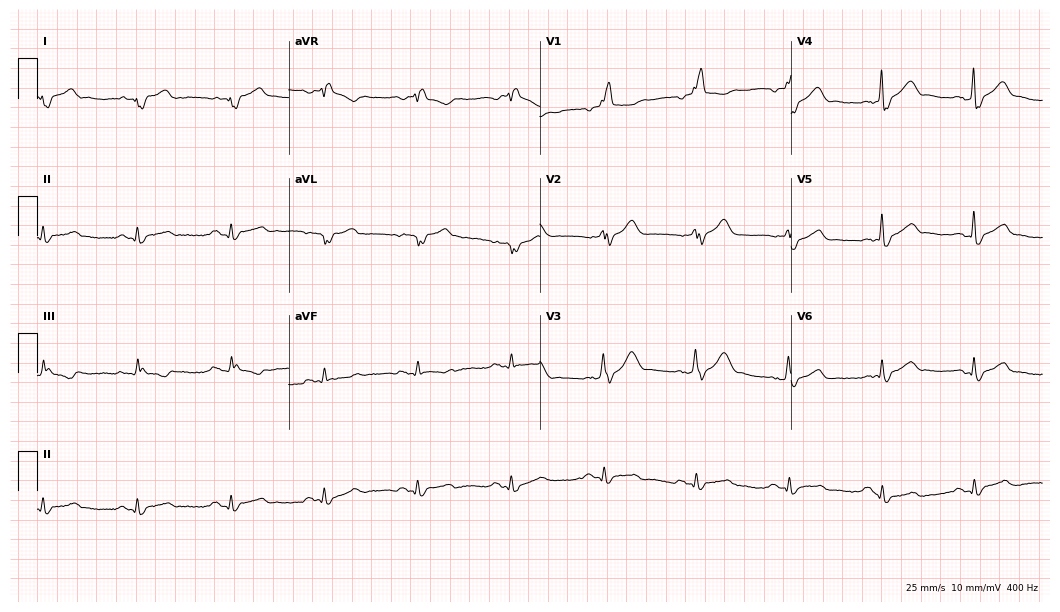
ECG — a 68-year-old male patient. Findings include right bundle branch block (RBBB).